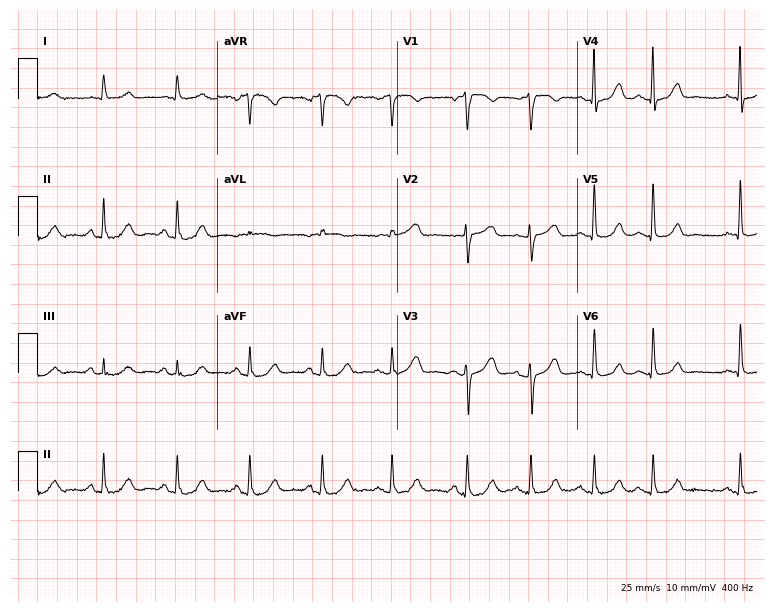
Resting 12-lead electrocardiogram. Patient: a 71-year-old male. Read as a normal ECG.